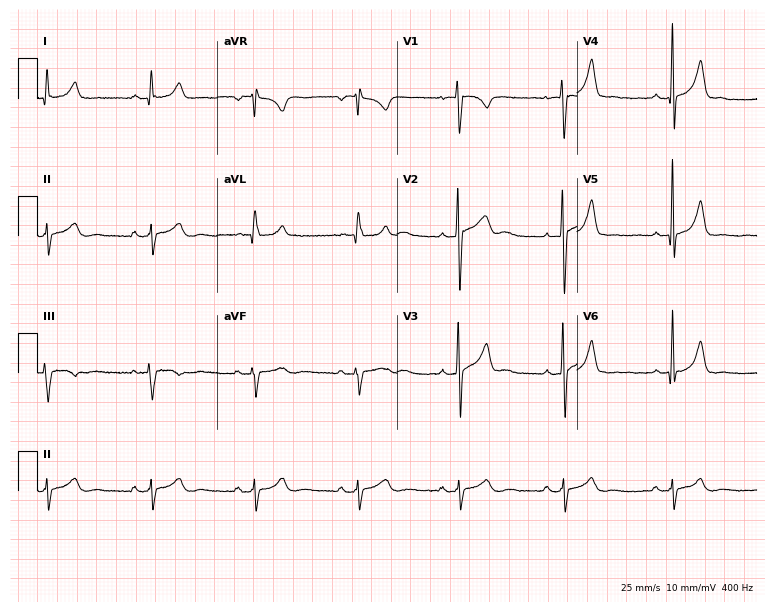
ECG (7.3-second recording at 400 Hz) — a male, 37 years old. Labelled as a normal ECG.